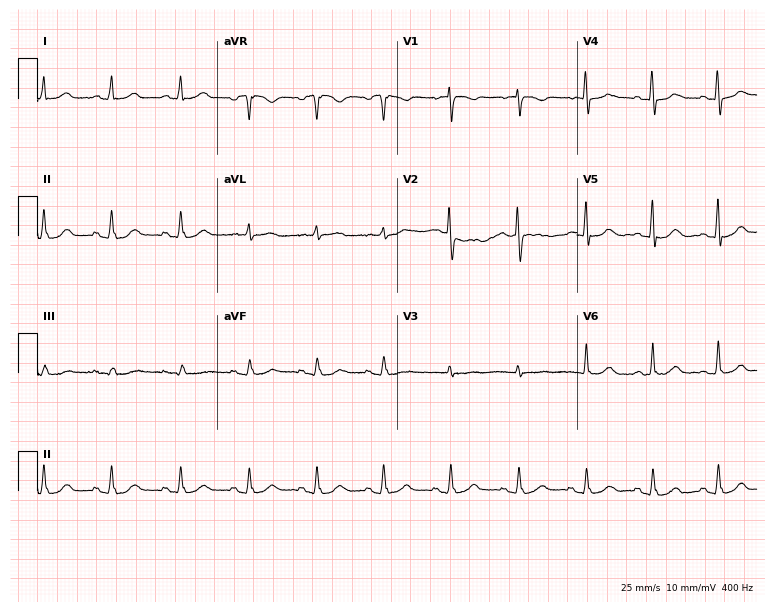
Resting 12-lead electrocardiogram. Patient: a female, 77 years old. None of these six findings is recorded: first-degree AV block, right bundle branch block, left bundle branch block, sinus bradycardia, atrial fibrillation, sinus tachycardia.